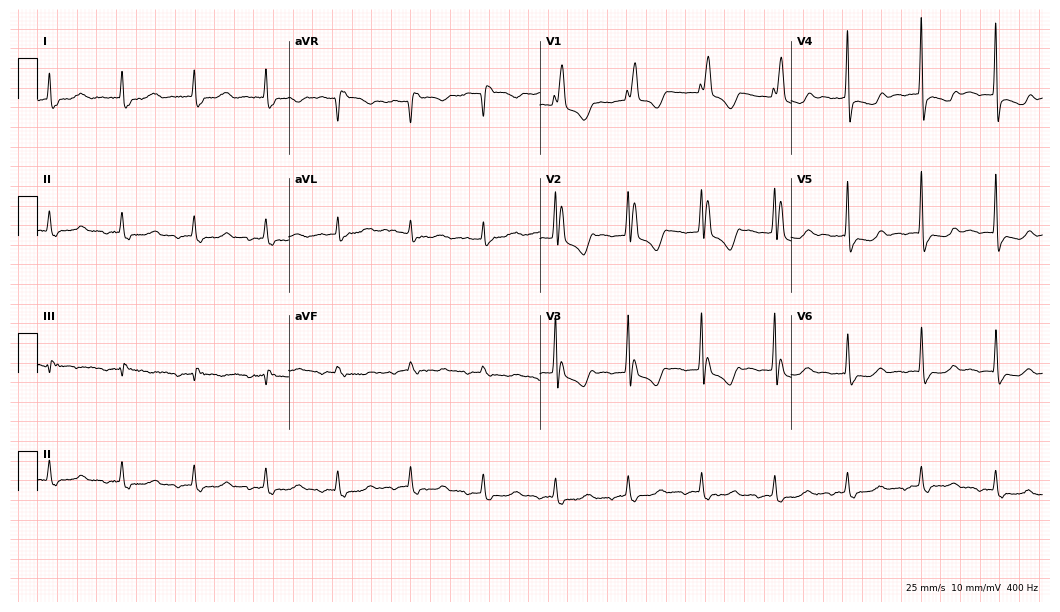
12-lead ECG (10.2-second recording at 400 Hz) from a 66-year-old woman. Screened for six findings — first-degree AV block, right bundle branch block, left bundle branch block, sinus bradycardia, atrial fibrillation, sinus tachycardia — none is recorded. Findings outside these six are not listed.